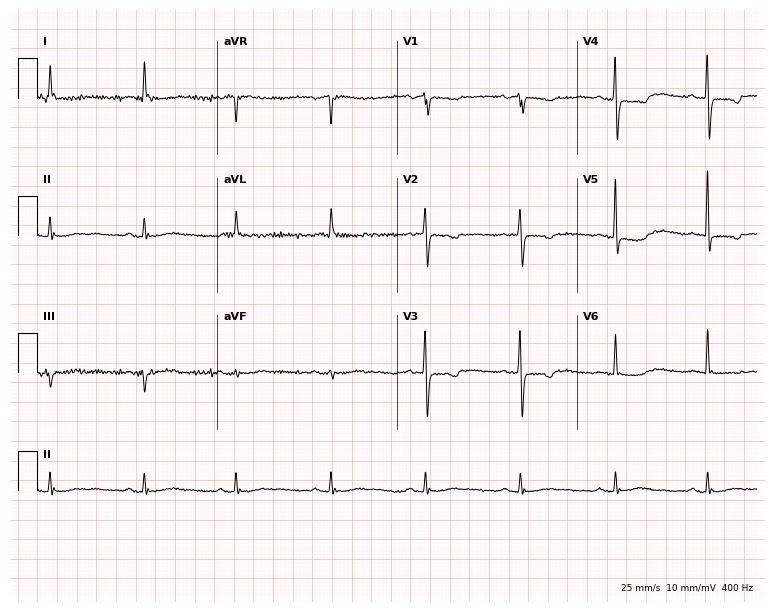
Resting 12-lead electrocardiogram (7.3-second recording at 400 Hz). Patient: a woman, 78 years old. None of these six findings is recorded: first-degree AV block, right bundle branch block, left bundle branch block, sinus bradycardia, atrial fibrillation, sinus tachycardia. Other findings, if any, are not listed.